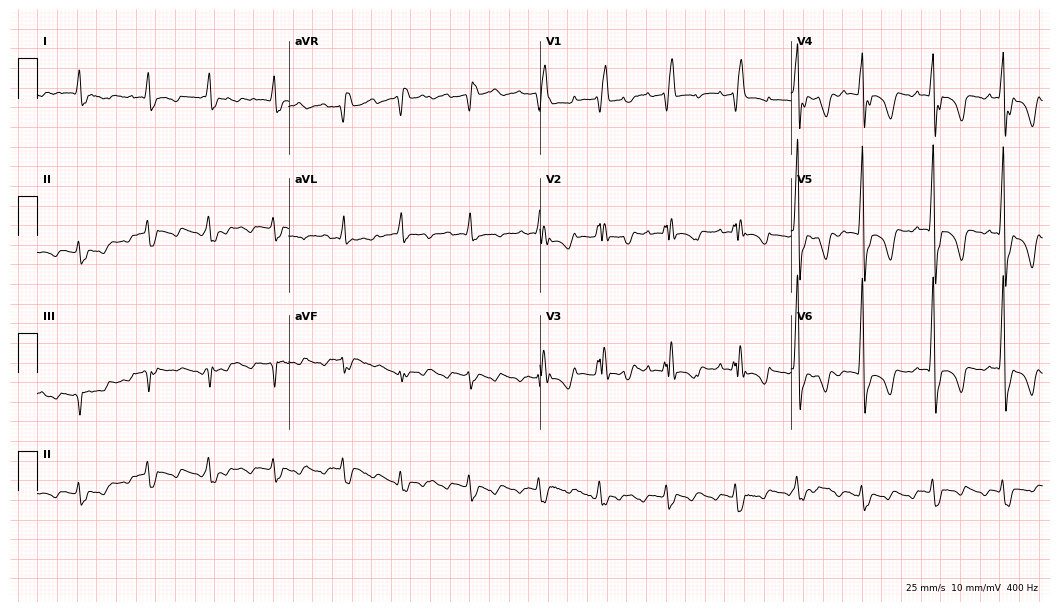
12-lead ECG (10.2-second recording at 400 Hz) from a male, 84 years old. Findings include right bundle branch block.